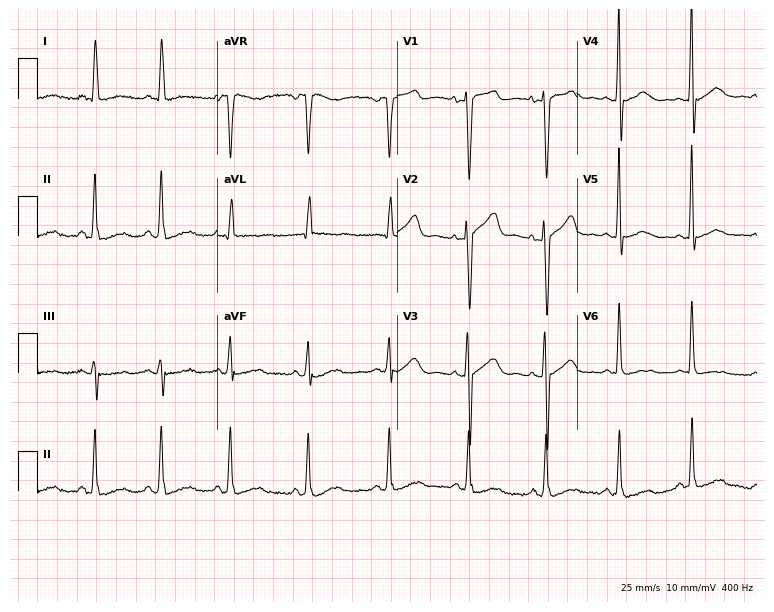
Electrocardiogram (7.3-second recording at 400 Hz), a 52-year-old woman. Of the six screened findings (first-degree AV block, right bundle branch block, left bundle branch block, sinus bradycardia, atrial fibrillation, sinus tachycardia), none is recorded.